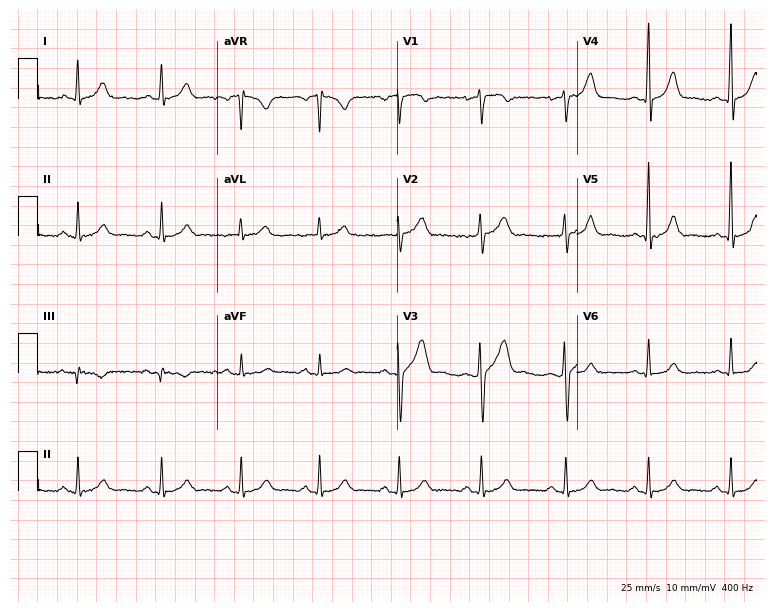
ECG (7.3-second recording at 400 Hz) — a male patient, 41 years old. Screened for six findings — first-degree AV block, right bundle branch block, left bundle branch block, sinus bradycardia, atrial fibrillation, sinus tachycardia — none is recorded. Findings outside these six are not listed.